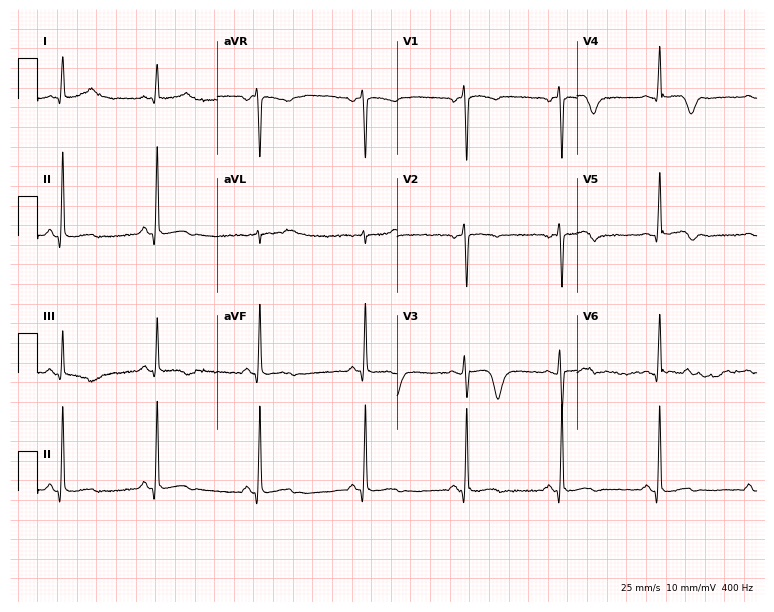
12-lead ECG from a female patient, 47 years old (7.3-second recording at 400 Hz). No first-degree AV block, right bundle branch block, left bundle branch block, sinus bradycardia, atrial fibrillation or sinus tachycardia recorded for this tracing. Other findings, if any, are not listed.